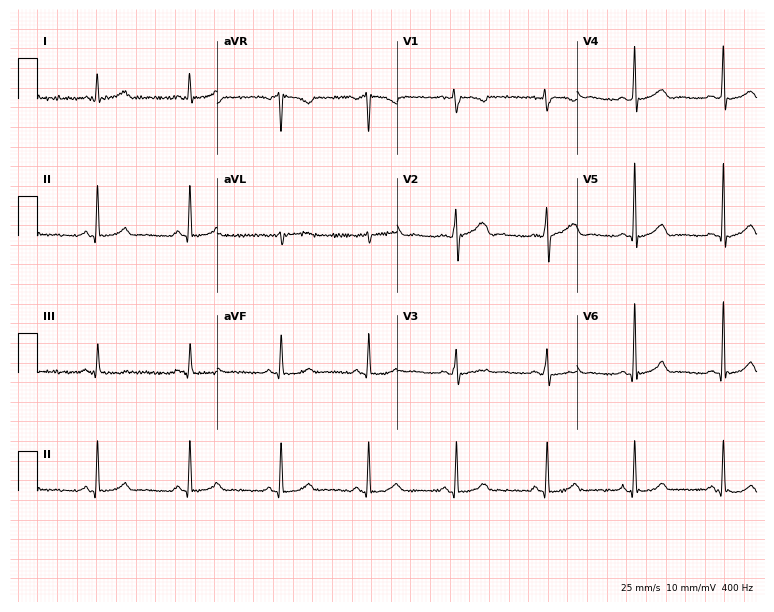
Electrocardiogram, a 34-year-old female patient. Overall reading on record: normal ECG.